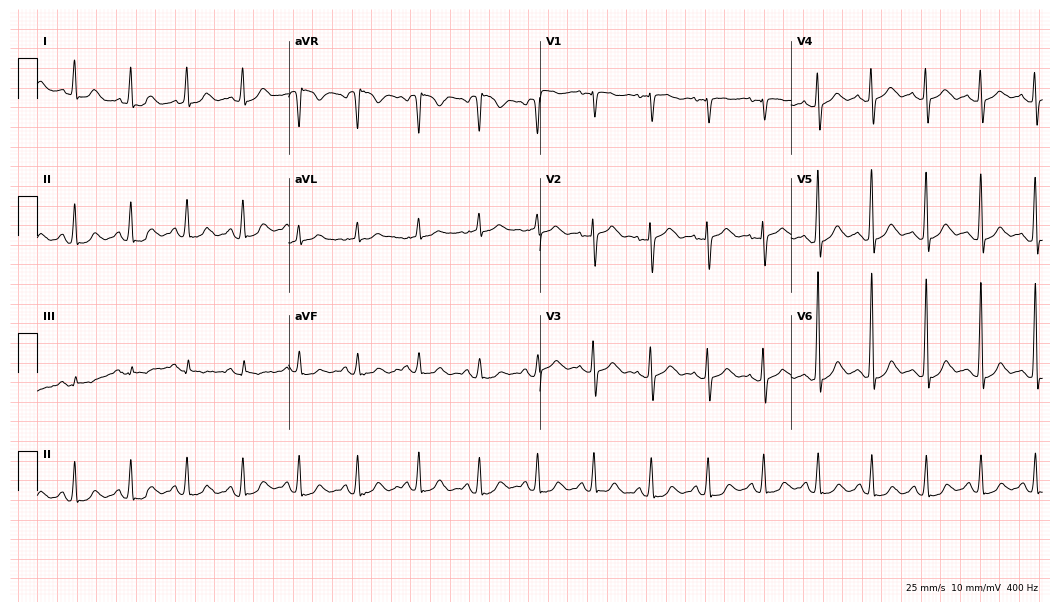
ECG (10.2-second recording at 400 Hz) — a woman, 52 years old. Findings include sinus tachycardia (a sinus rate of 100 beats per minute or more).